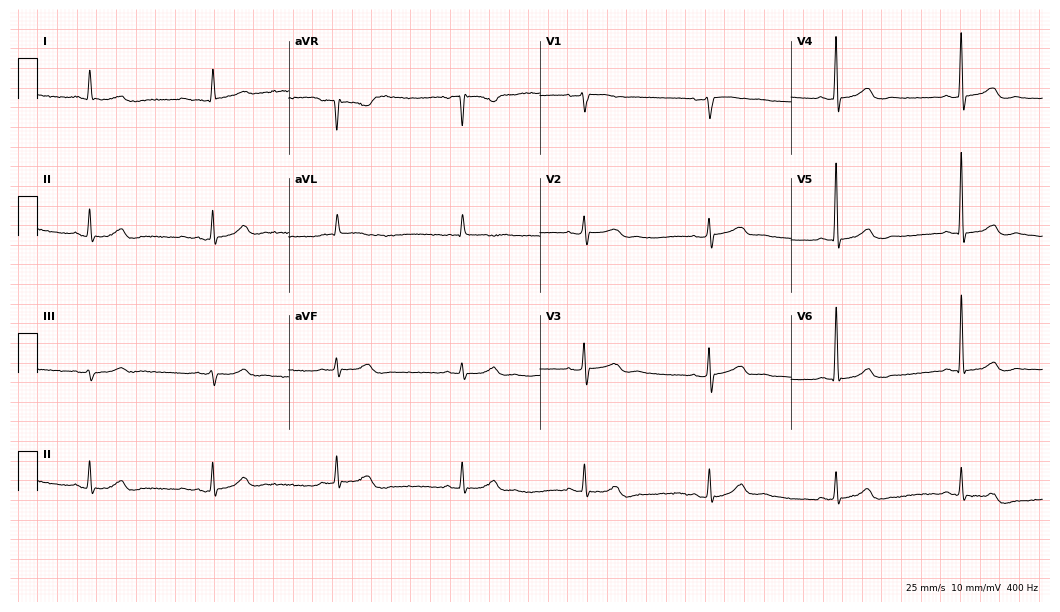
Electrocardiogram, a woman, 78 years old. Interpretation includes sinus bradycardia (a sinus rate of 50 beats per minute or less).